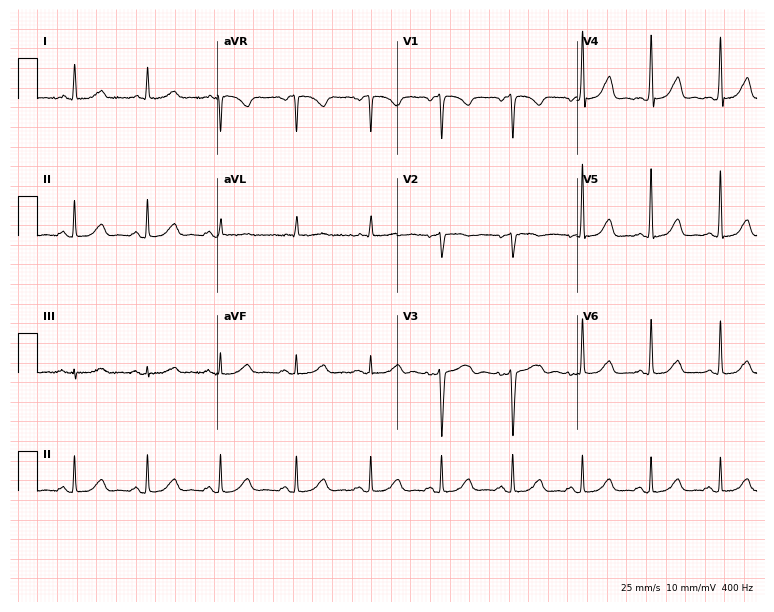
12-lead ECG from a 53-year-old female (7.3-second recording at 400 Hz). Recorded interpretation: within normal limits.